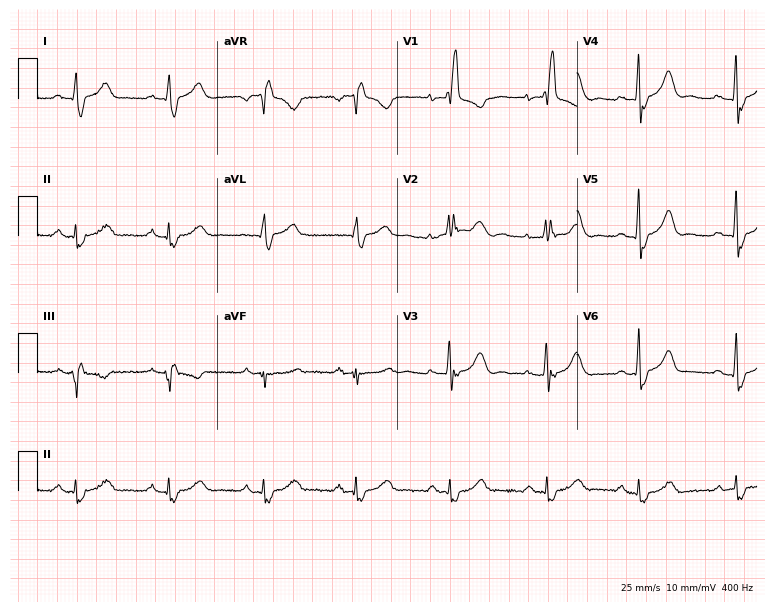
12-lead ECG from a female patient, 71 years old. Shows right bundle branch block (RBBB).